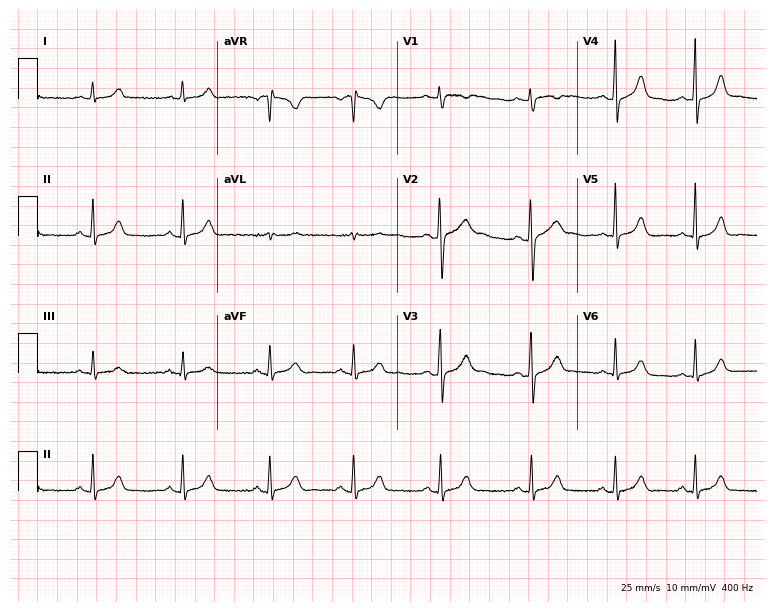
Standard 12-lead ECG recorded from a female patient, 28 years old (7.3-second recording at 400 Hz). Read as a normal ECG.